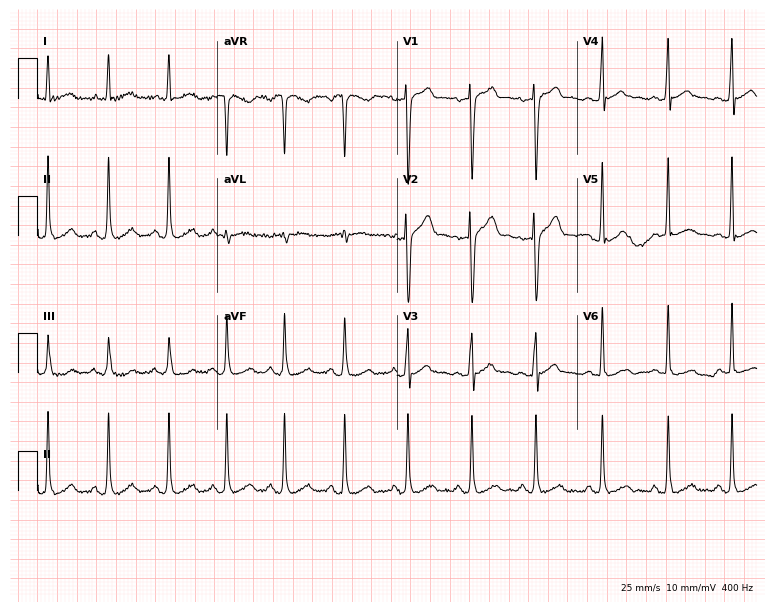
12-lead ECG (7.3-second recording at 400 Hz) from a 40-year-old male patient. Screened for six findings — first-degree AV block, right bundle branch block, left bundle branch block, sinus bradycardia, atrial fibrillation, sinus tachycardia — none is recorded.